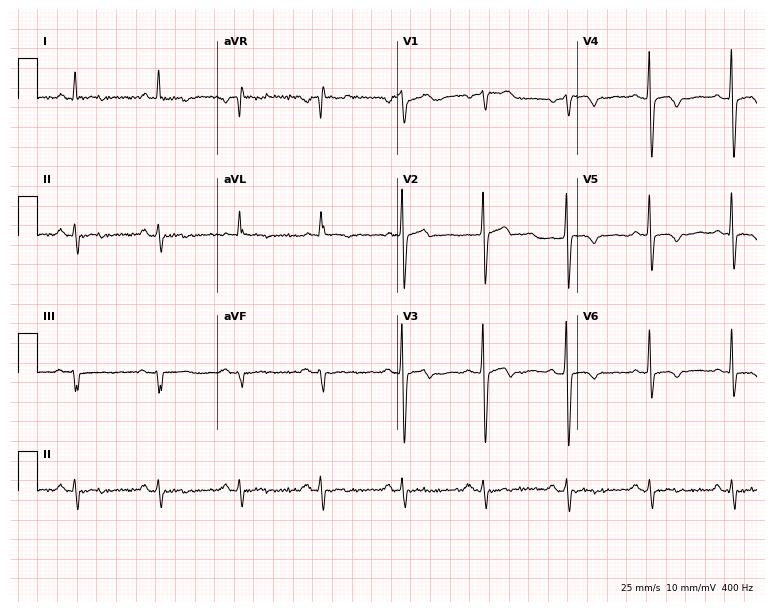
Standard 12-lead ECG recorded from a man, 61 years old (7.3-second recording at 400 Hz). None of these six findings is recorded: first-degree AV block, right bundle branch block, left bundle branch block, sinus bradycardia, atrial fibrillation, sinus tachycardia.